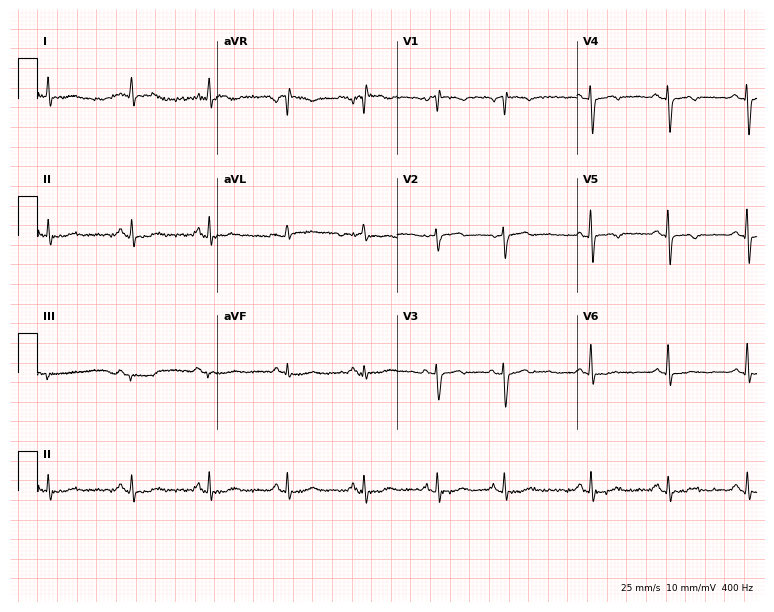
12-lead ECG from a woman, 67 years old (7.3-second recording at 400 Hz). No first-degree AV block, right bundle branch block (RBBB), left bundle branch block (LBBB), sinus bradycardia, atrial fibrillation (AF) or sinus tachycardia recorded for this tracing. Findings outside these six are not listed.